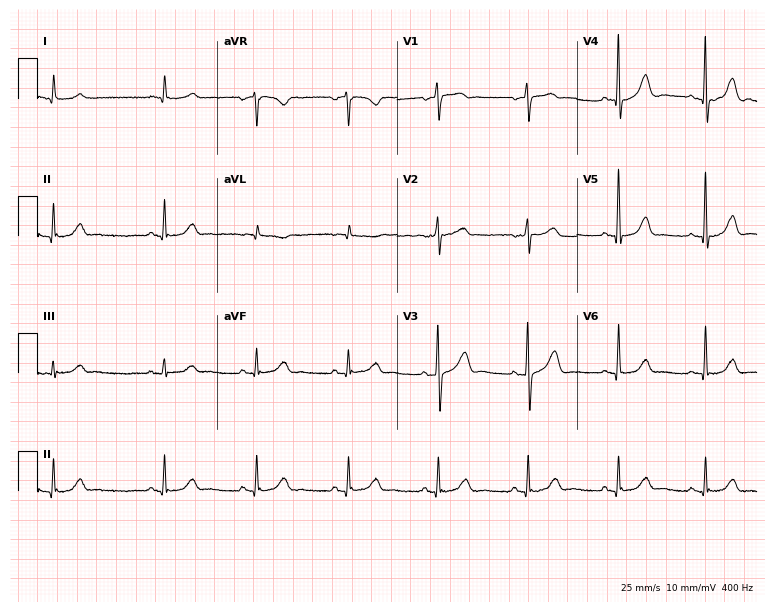
Resting 12-lead electrocardiogram. Patient: an 85-year-old woman. None of these six findings is recorded: first-degree AV block, right bundle branch block, left bundle branch block, sinus bradycardia, atrial fibrillation, sinus tachycardia. Only these six findings were labelled.